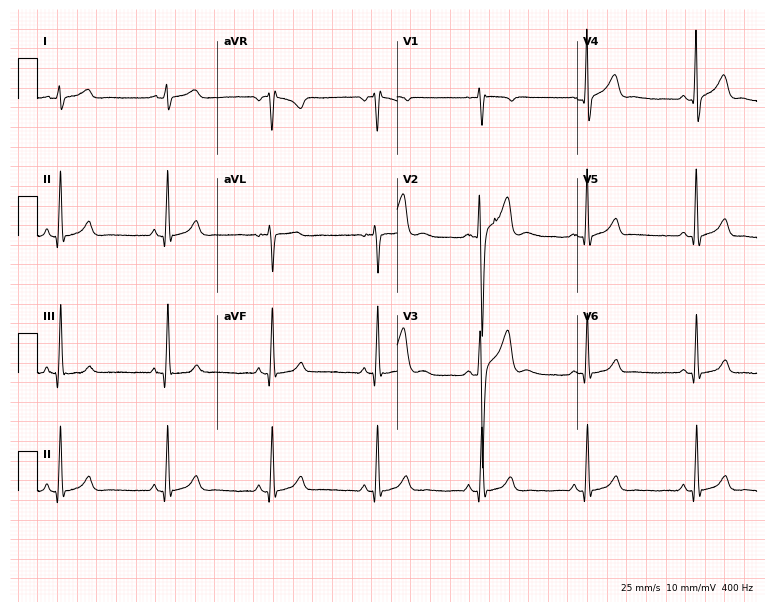
12-lead ECG from a 73-year-old man (7.3-second recording at 400 Hz). No first-degree AV block, right bundle branch block, left bundle branch block, sinus bradycardia, atrial fibrillation or sinus tachycardia recorded for this tracing. Only these six findings were labelled.